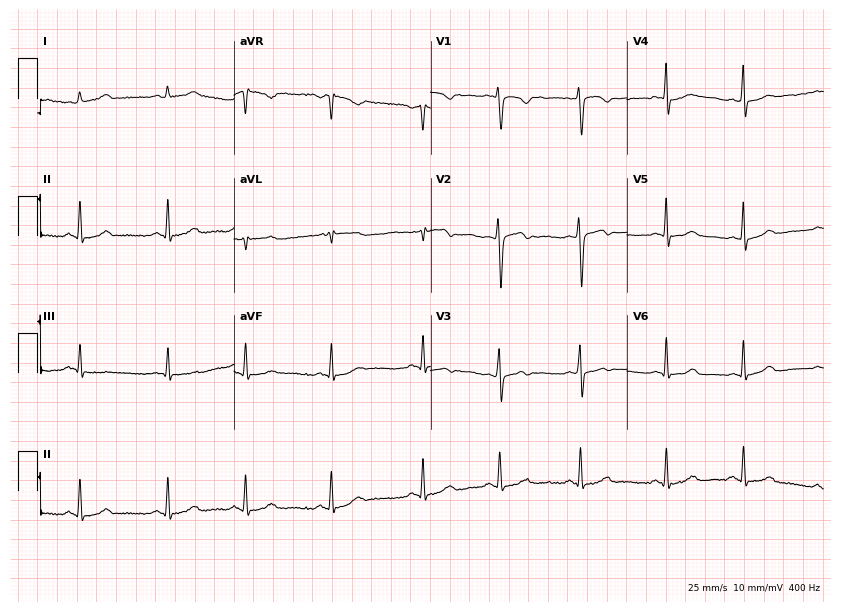
ECG — a female, 21 years old. Labelled as a normal ECG.